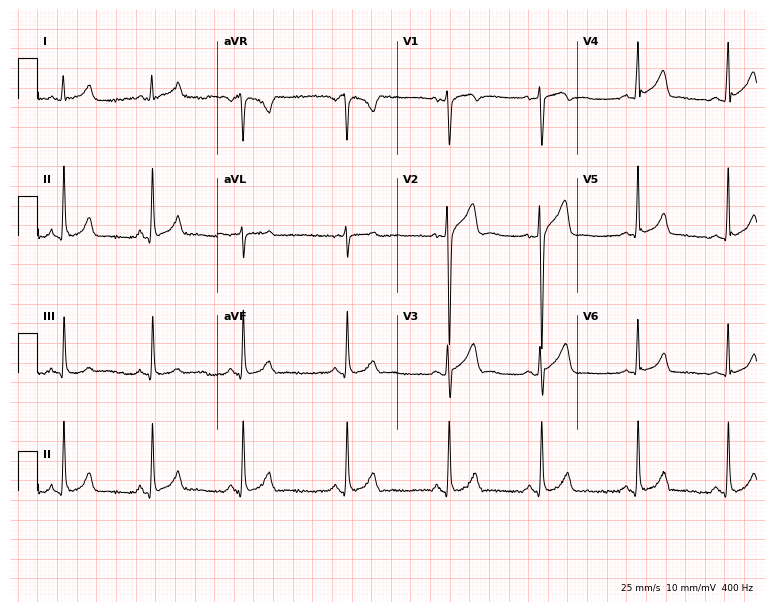
12-lead ECG from a woman, 36 years old. No first-degree AV block, right bundle branch block, left bundle branch block, sinus bradycardia, atrial fibrillation or sinus tachycardia recorded for this tracing.